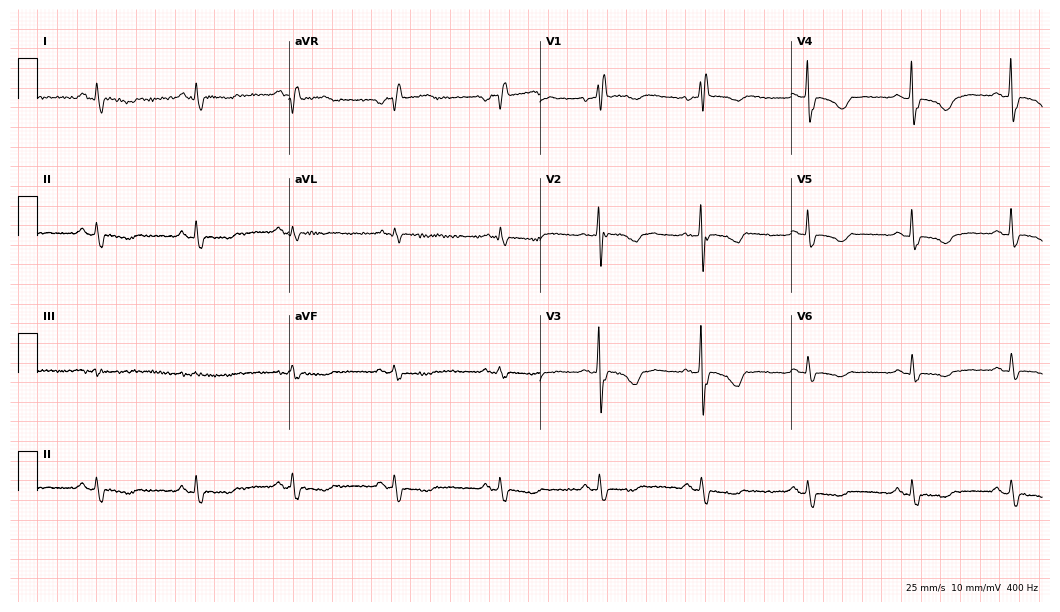
12-lead ECG from a 72-year-old female patient. Screened for six findings — first-degree AV block, right bundle branch block, left bundle branch block, sinus bradycardia, atrial fibrillation, sinus tachycardia — none is recorded.